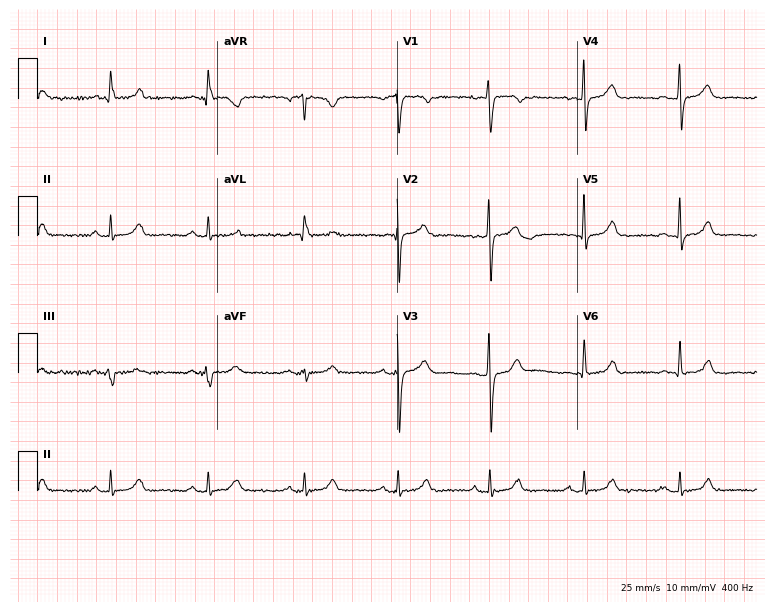
Resting 12-lead electrocardiogram (7.3-second recording at 400 Hz). Patient: a female, 51 years old. Read as a normal ECG.